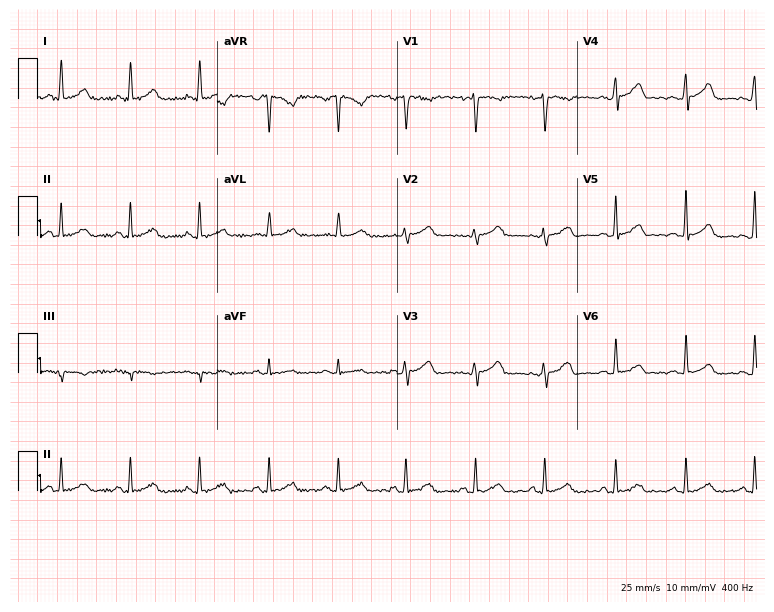
Resting 12-lead electrocardiogram. Patient: a 31-year-old male. Read as a normal ECG.